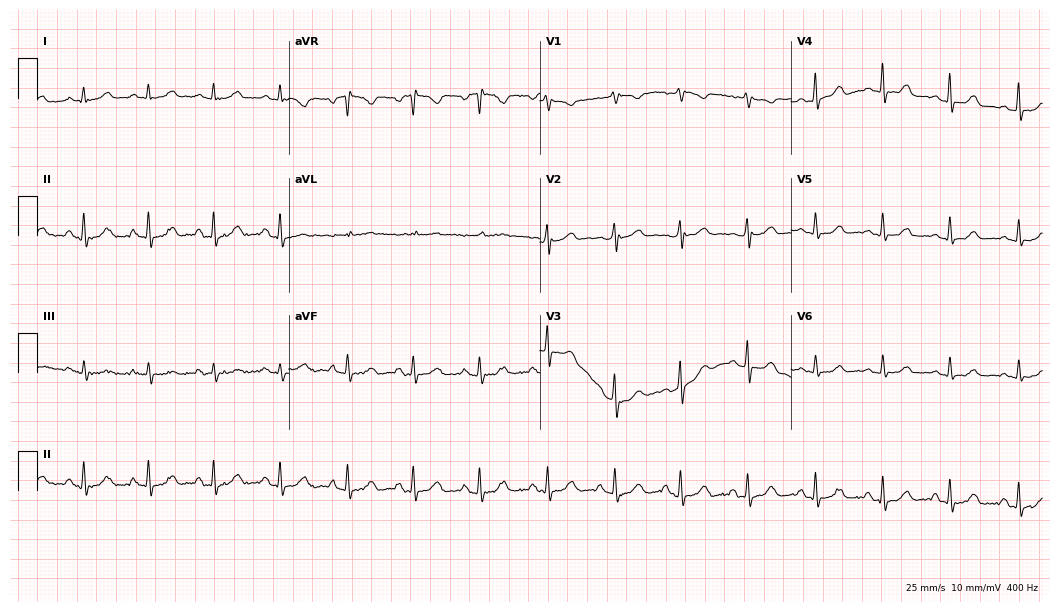
Resting 12-lead electrocardiogram (10.2-second recording at 400 Hz). Patient: a 44-year-old female. Read as a normal ECG.